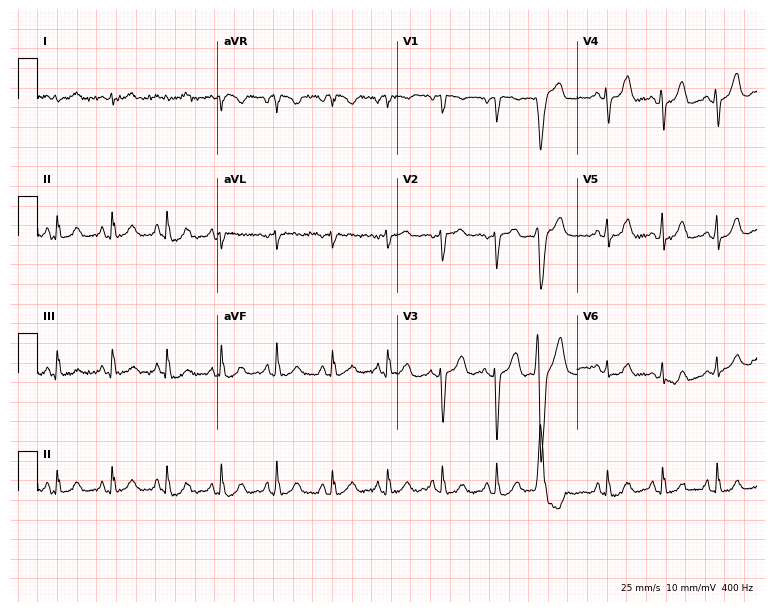
Standard 12-lead ECG recorded from a woman, 82 years old (7.3-second recording at 400 Hz). The tracing shows sinus tachycardia (a sinus rate of 100 beats per minute or more).